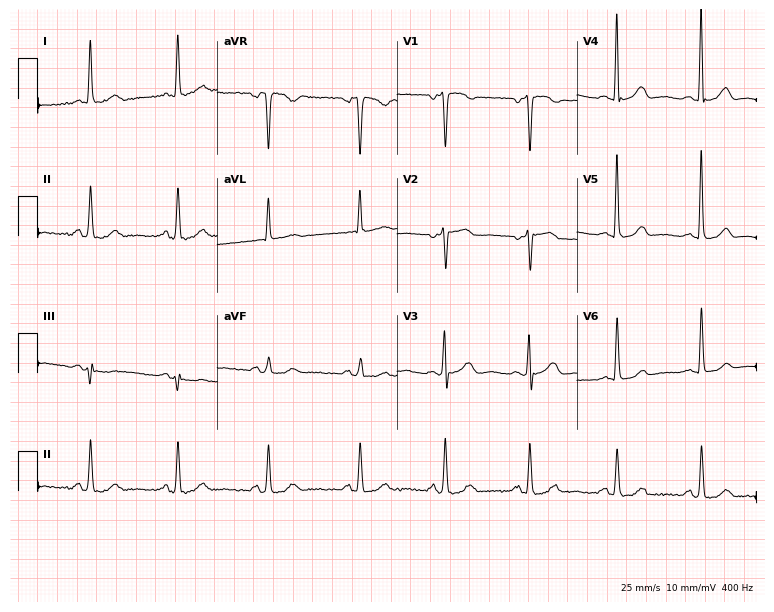
12-lead ECG from a woman, 69 years old. Screened for six findings — first-degree AV block, right bundle branch block, left bundle branch block, sinus bradycardia, atrial fibrillation, sinus tachycardia — none is recorded.